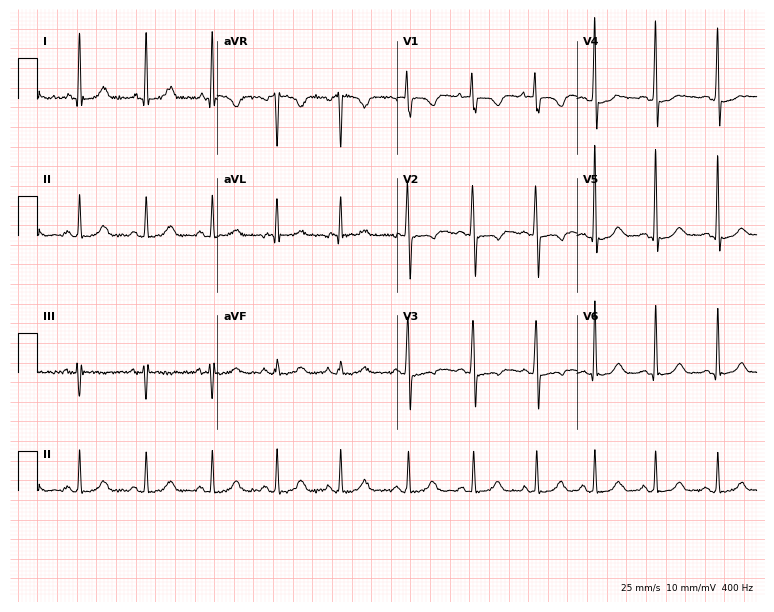
Electrocardiogram (7.3-second recording at 400 Hz), a 34-year-old woman. Of the six screened findings (first-degree AV block, right bundle branch block, left bundle branch block, sinus bradycardia, atrial fibrillation, sinus tachycardia), none is recorded.